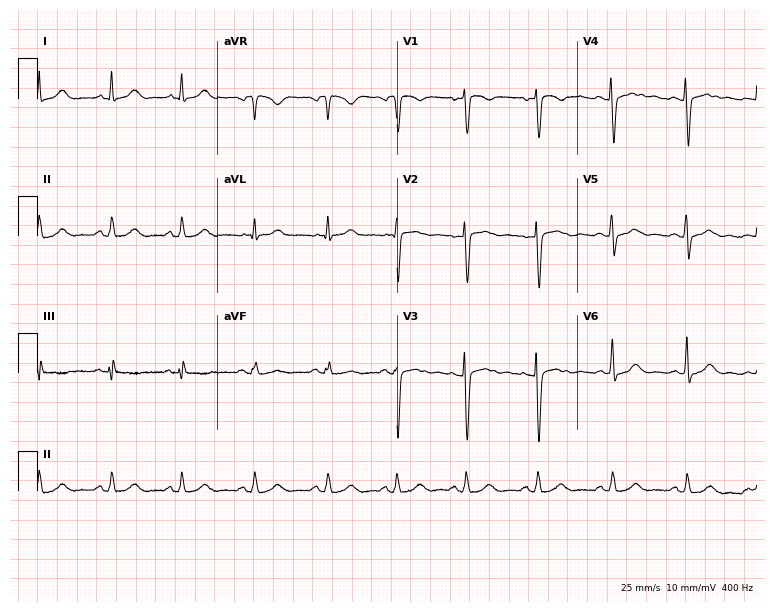
ECG — a 34-year-old female. Screened for six findings — first-degree AV block, right bundle branch block, left bundle branch block, sinus bradycardia, atrial fibrillation, sinus tachycardia — none is recorded.